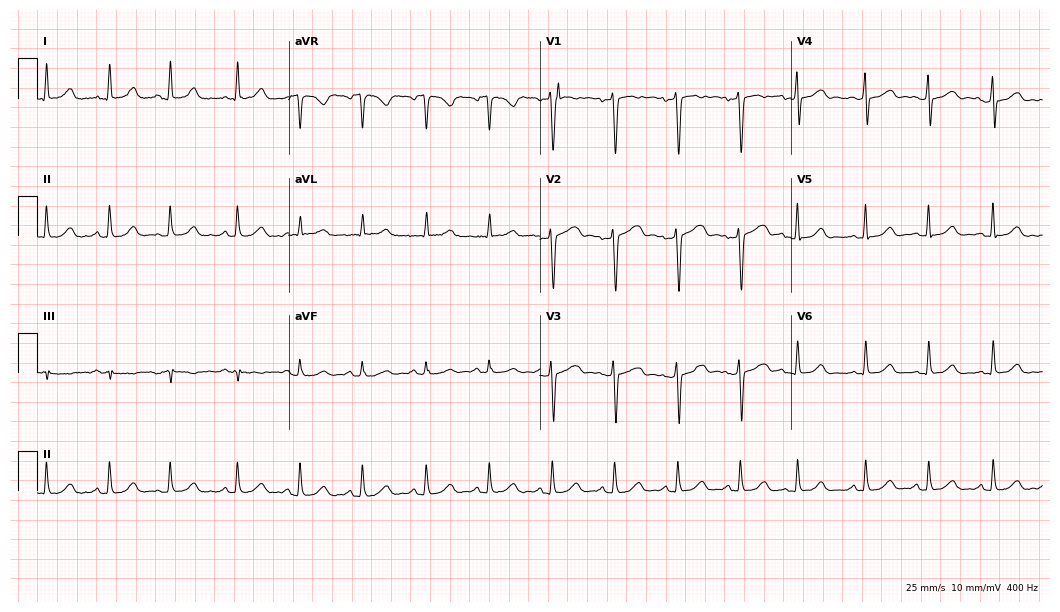
Electrocardiogram (10.2-second recording at 400 Hz), a woman, 47 years old. Overall reading on record: normal ECG.